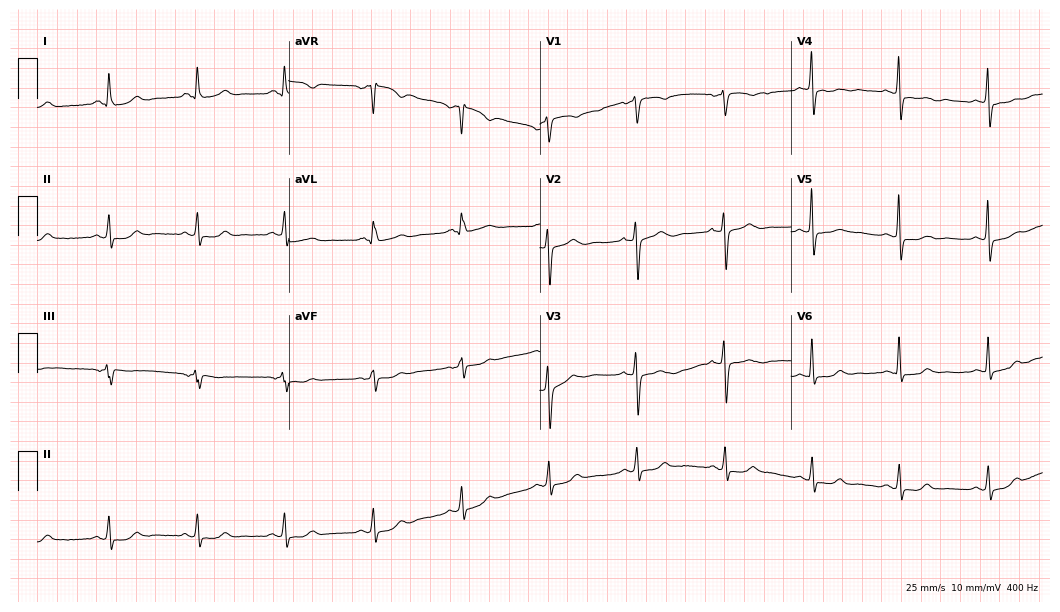
Standard 12-lead ECG recorded from a woman, 53 years old (10.2-second recording at 400 Hz). Read as a normal ECG.